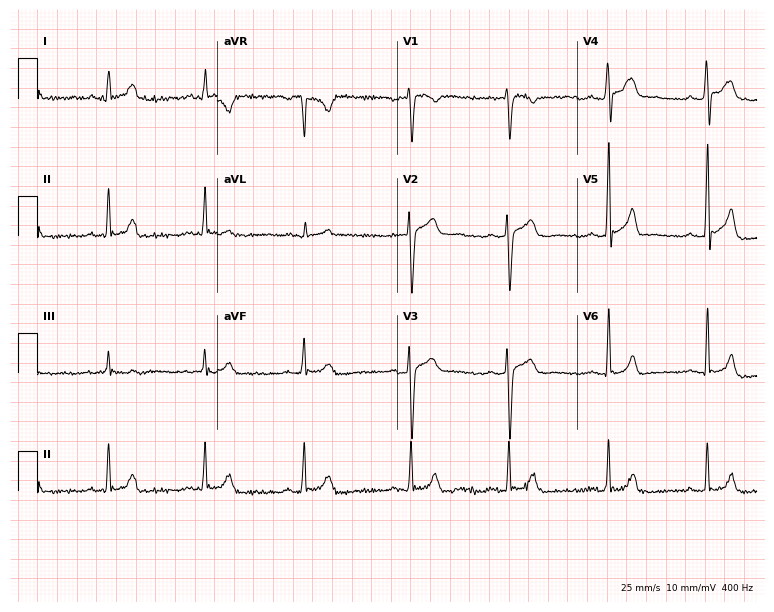
Standard 12-lead ECG recorded from a 27-year-old male (7.3-second recording at 400 Hz). Read as a normal ECG.